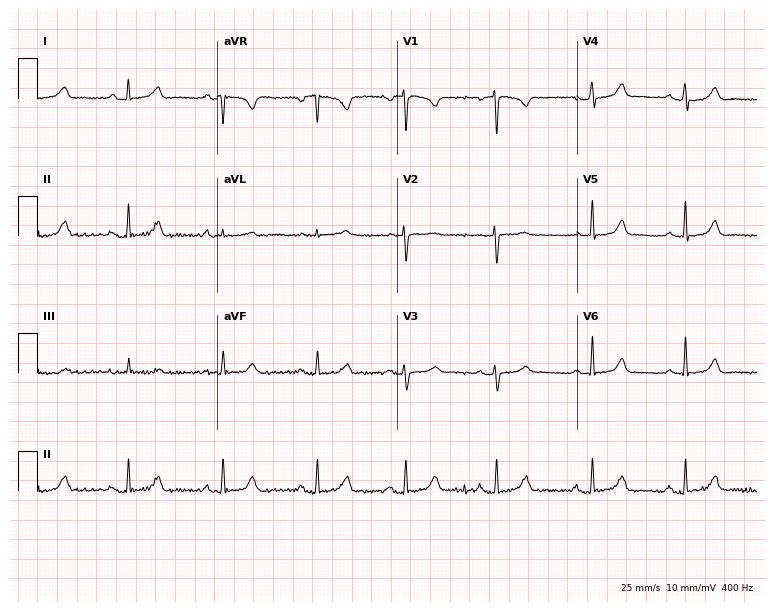
Electrocardiogram (7.3-second recording at 400 Hz), a 32-year-old female patient. Overall reading on record: normal ECG.